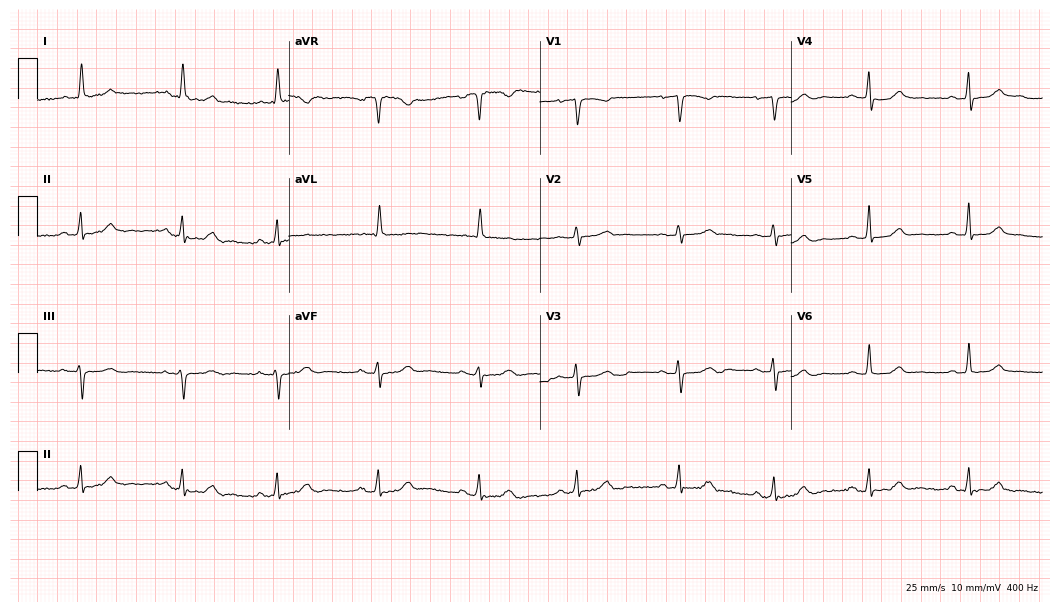
Electrocardiogram (10.2-second recording at 400 Hz), a 66-year-old female patient. Of the six screened findings (first-degree AV block, right bundle branch block (RBBB), left bundle branch block (LBBB), sinus bradycardia, atrial fibrillation (AF), sinus tachycardia), none is recorded.